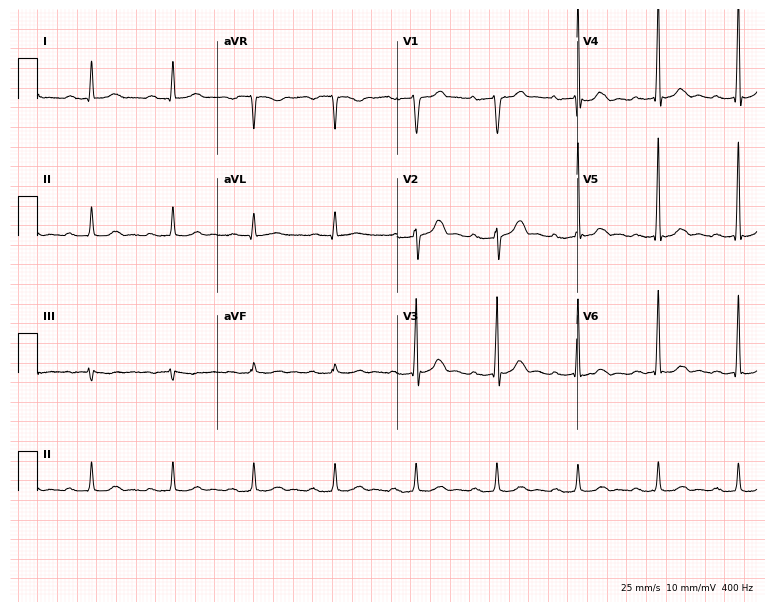
ECG (7.3-second recording at 400 Hz) — a man, 71 years old. Findings include first-degree AV block.